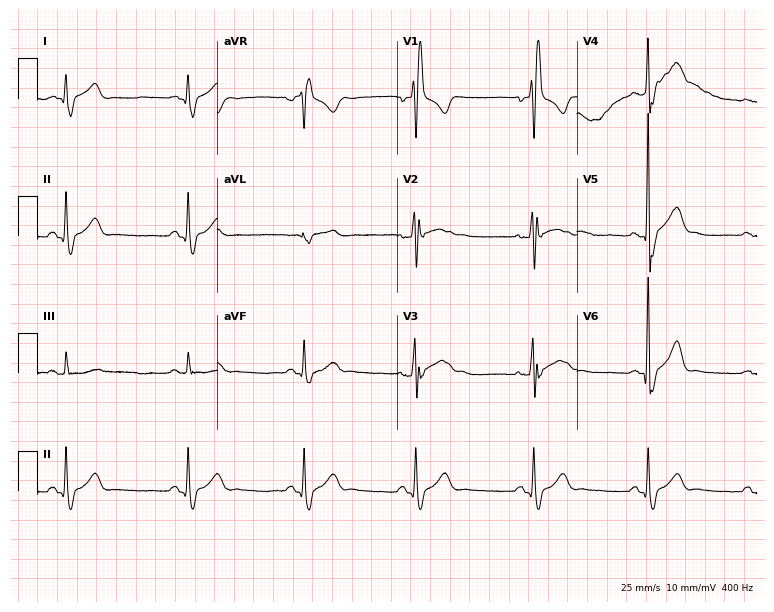
Resting 12-lead electrocardiogram. Patient: a man, 31 years old. The tracing shows right bundle branch block (RBBB).